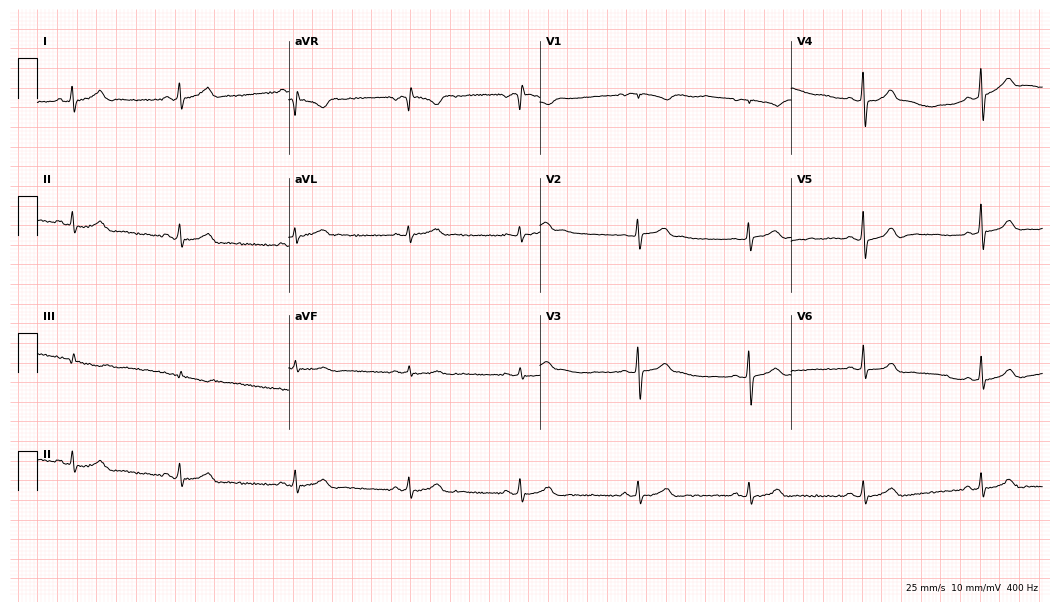
ECG (10.2-second recording at 400 Hz) — a 22-year-old woman. Labelled as a normal ECG.